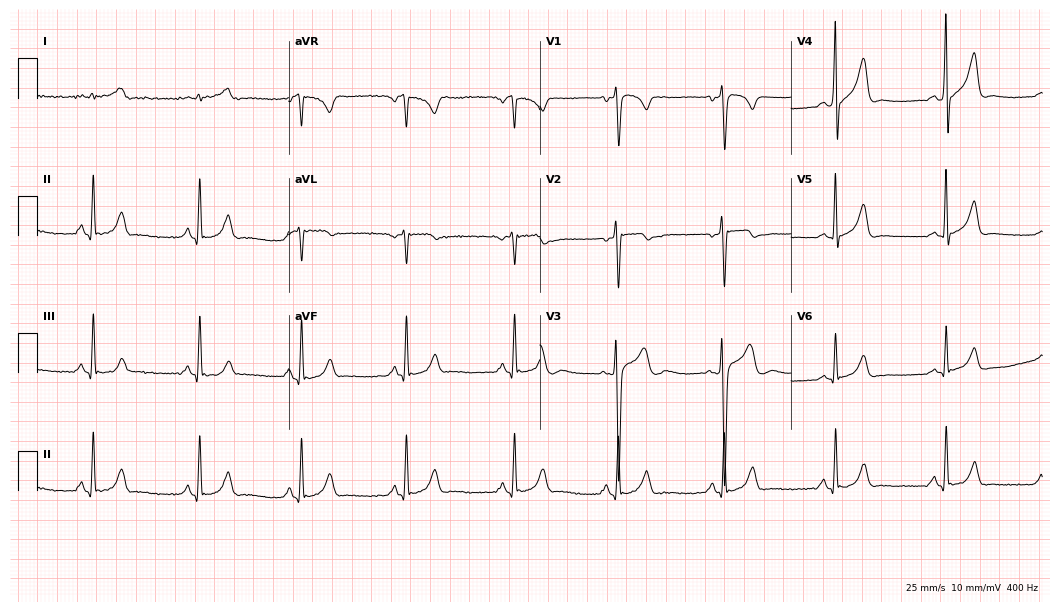
12-lead ECG from a male, 25 years old (10.2-second recording at 400 Hz). Recorded interpretation: within normal limits.